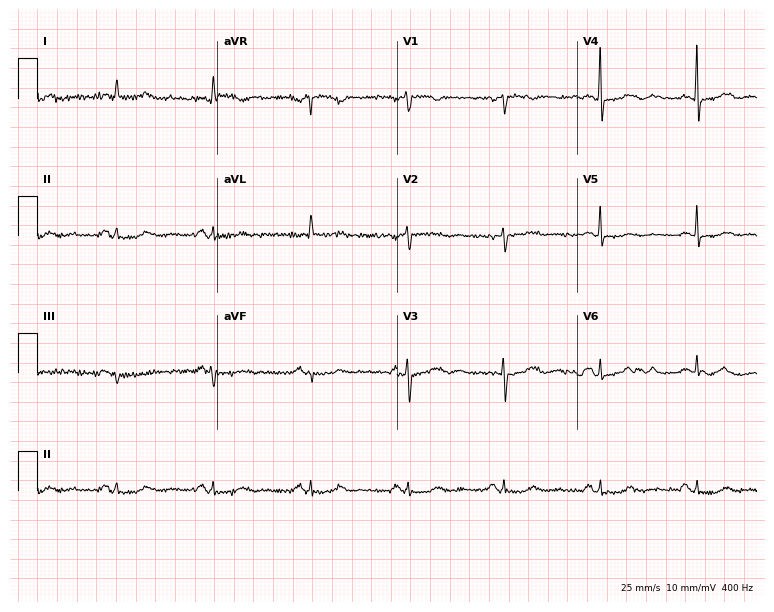
ECG (7.3-second recording at 400 Hz) — a female patient, 79 years old. Screened for six findings — first-degree AV block, right bundle branch block, left bundle branch block, sinus bradycardia, atrial fibrillation, sinus tachycardia — none is recorded. Only these six findings were labelled.